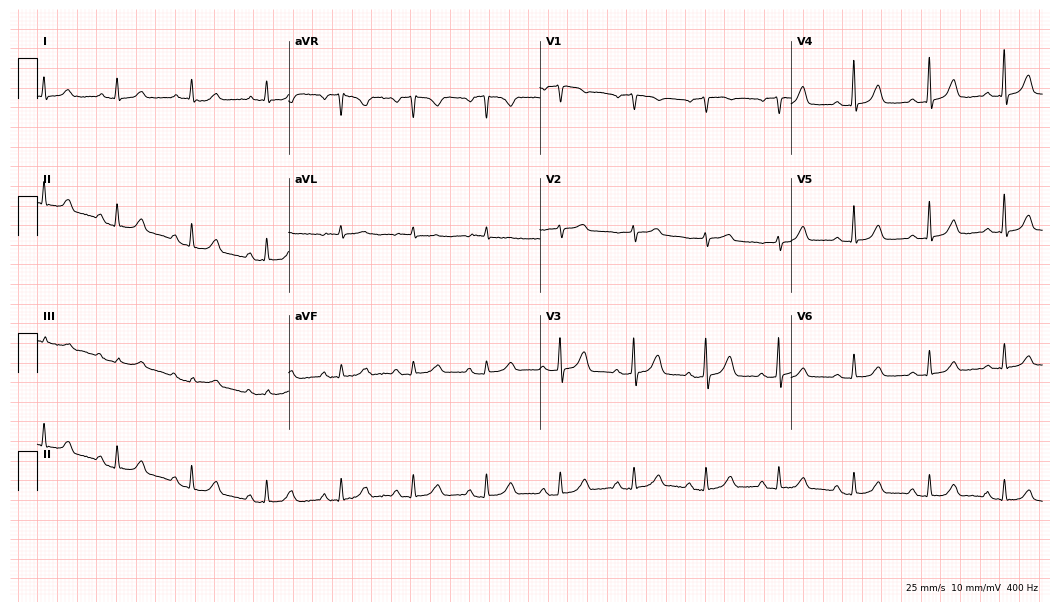
12-lead ECG from a 67-year-old woman. Labelled as a normal ECG.